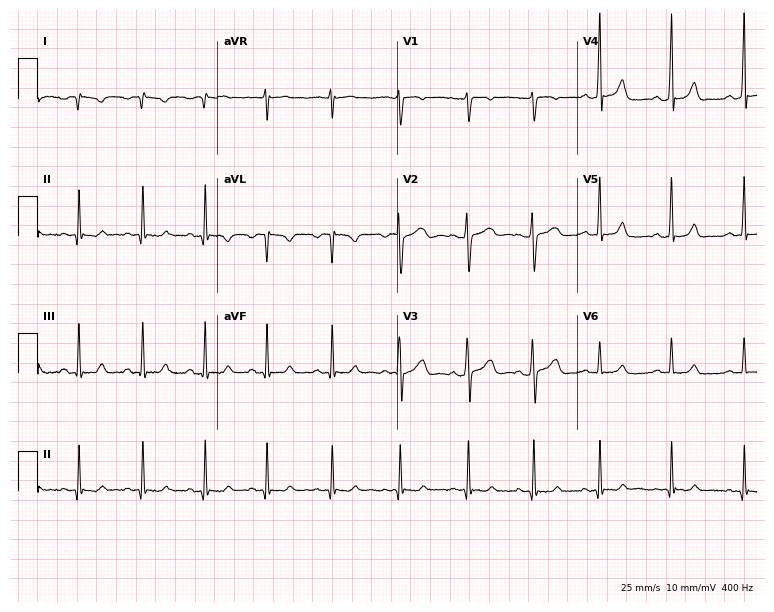
12-lead ECG from a female, 22 years old. No first-degree AV block, right bundle branch block (RBBB), left bundle branch block (LBBB), sinus bradycardia, atrial fibrillation (AF) or sinus tachycardia recorded for this tracing.